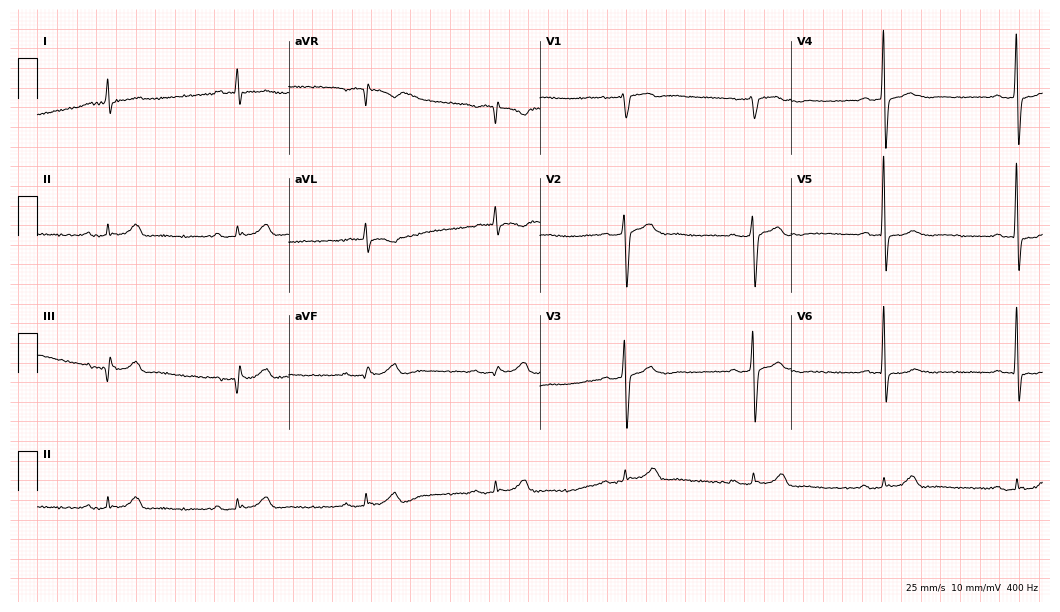
12-lead ECG (10.2-second recording at 400 Hz) from a 73-year-old male patient. Screened for six findings — first-degree AV block, right bundle branch block, left bundle branch block, sinus bradycardia, atrial fibrillation, sinus tachycardia — none is recorded. Findings outside these six are not listed.